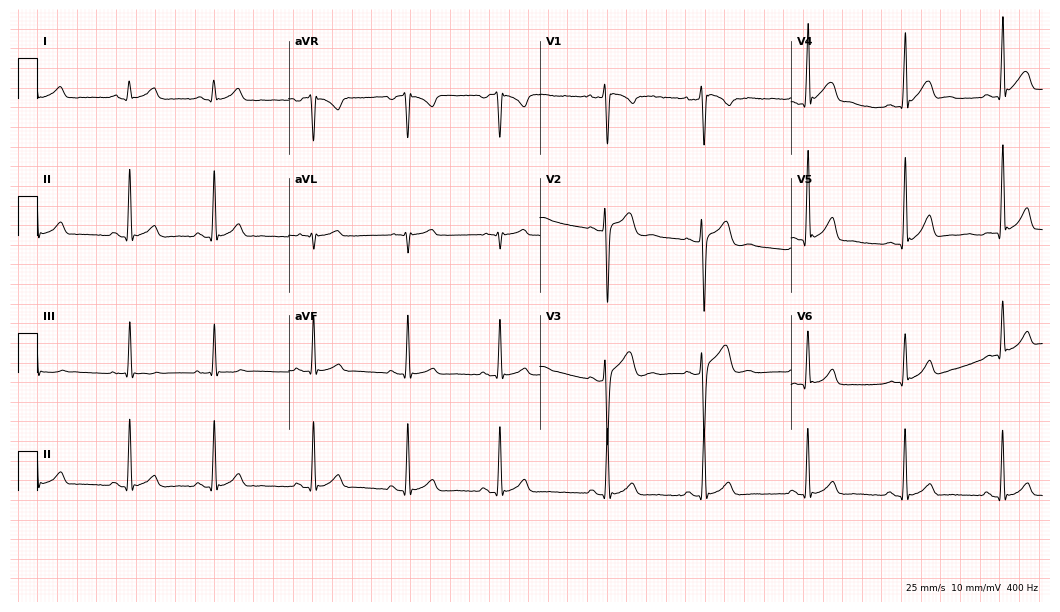
Electrocardiogram, a man, 22 years old. Of the six screened findings (first-degree AV block, right bundle branch block, left bundle branch block, sinus bradycardia, atrial fibrillation, sinus tachycardia), none is recorded.